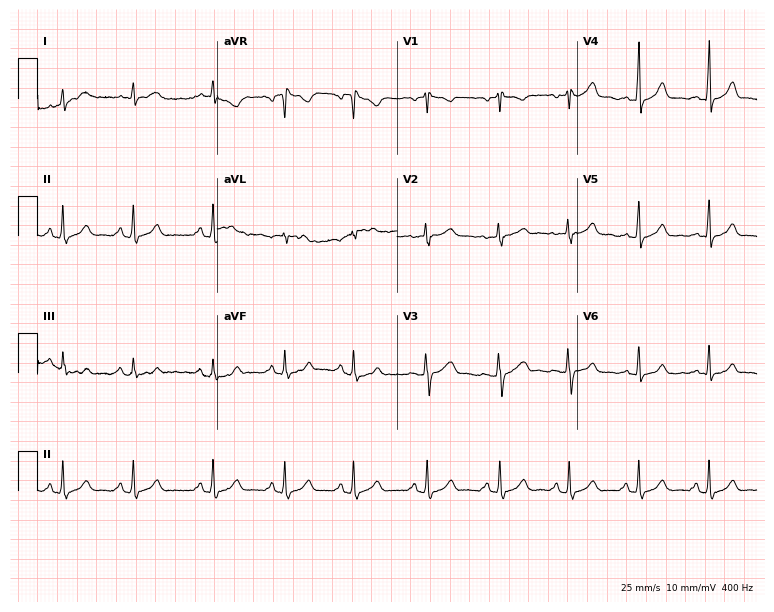
12-lead ECG (7.3-second recording at 400 Hz) from a 23-year-old woman. Screened for six findings — first-degree AV block, right bundle branch block, left bundle branch block, sinus bradycardia, atrial fibrillation, sinus tachycardia — none is recorded. Findings outside these six are not listed.